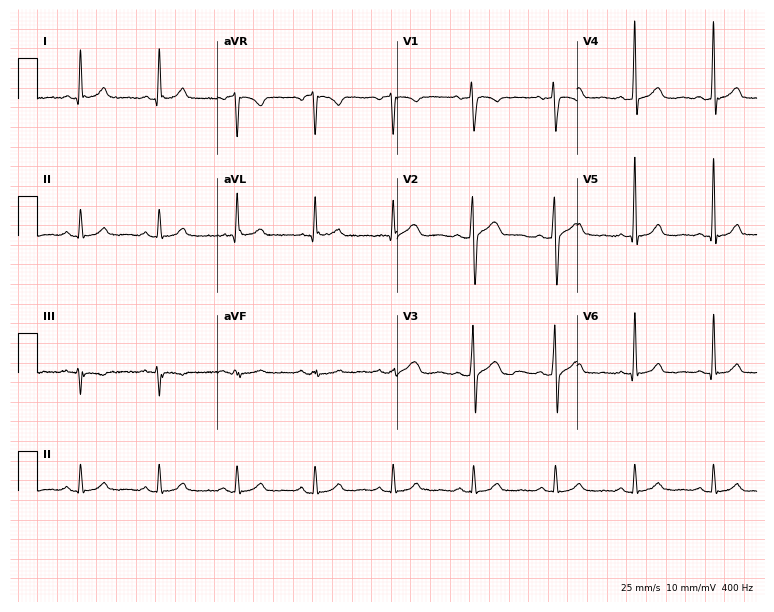
Resting 12-lead electrocardiogram (7.3-second recording at 400 Hz). Patient: a 42-year-old male. None of these six findings is recorded: first-degree AV block, right bundle branch block, left bundle branch block, sinus bradycardia, atrial fibrillation, sinus tachycardia.